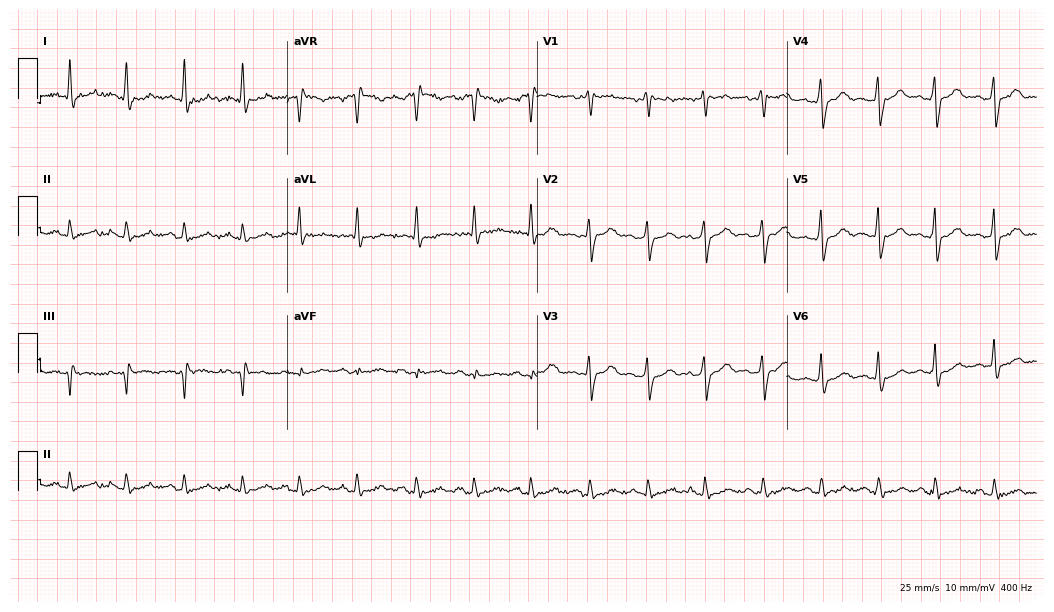
12-lead ECG from a 34-year-old male patient (10.2-second recording at 400 Hz). No first-degree AV block, right bundle branch block, left bundle branch block, sinus bradycardia, atrial fibrillation or sinus tachycardia recorded for this tracing. Only these six findings were labelled.